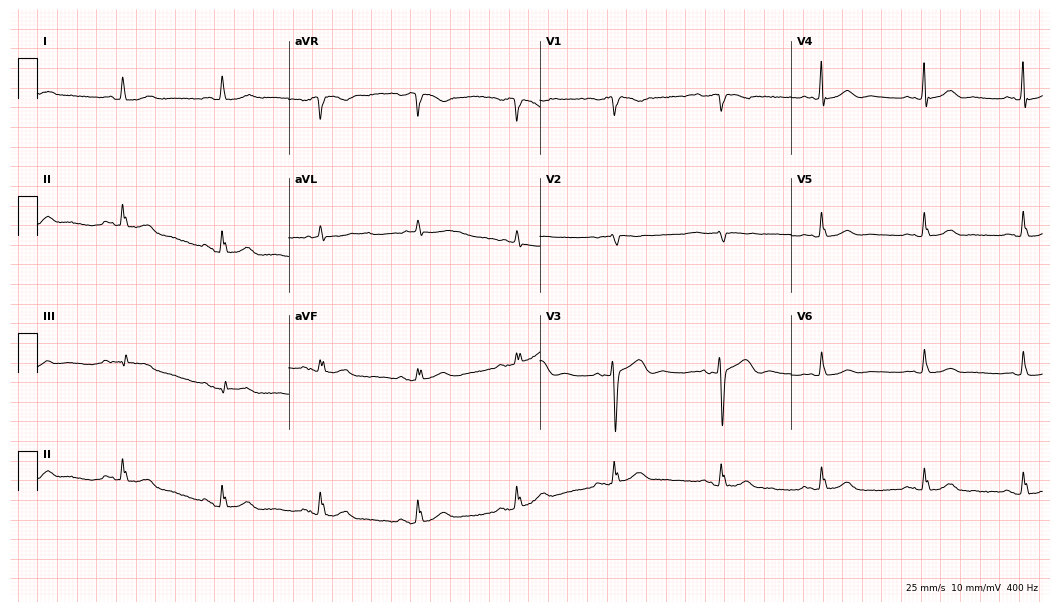
12-lead ECG from a 79-year-old female patient (10.2-second recording at 400 Hz). No first-degree AV block, right bundle branch block (RBBB), left bundle branch block (LBBB), sinus bradycardia, atrial fibrillation (AF) or sinus tachycardia recorded for this tracing.